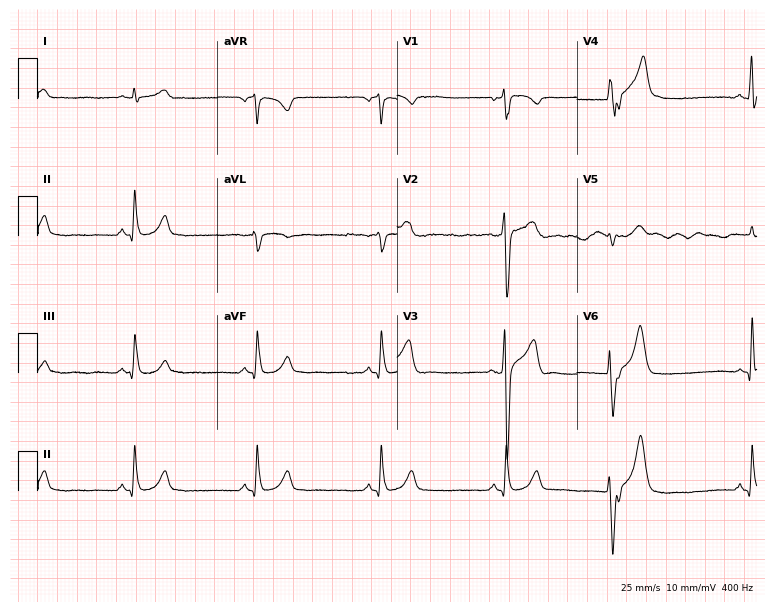
Electrocardiogram (7.3-second recording at 400 Hz), a 39-year-old man. Interpretation includes sinus bradycardia (a sinus rate of 50 beats per minute or less).